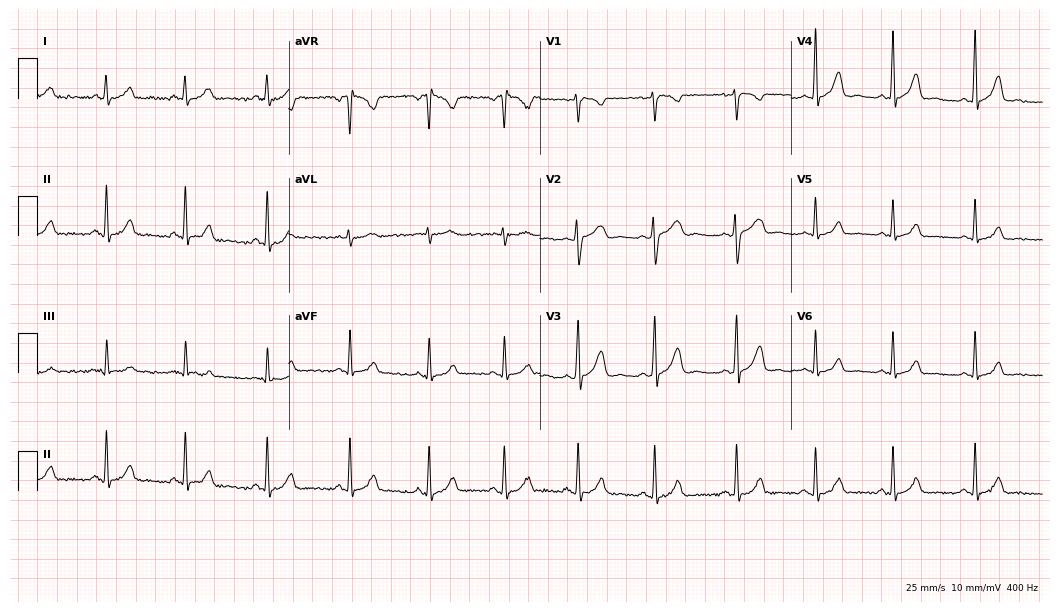
Resting 12-lead electrocardiogram (10.2-second recording at 400 Hz). Patient: a 39-year-old female. Read as a normal ECG.